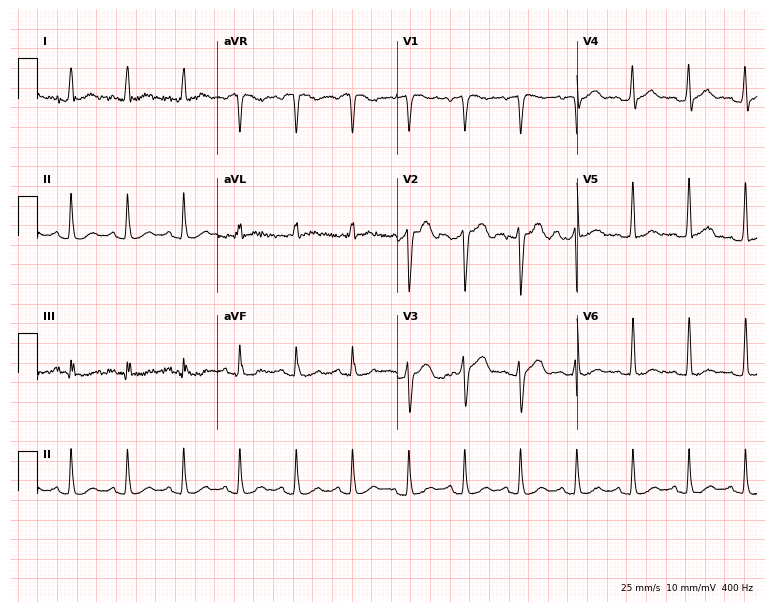
Electrocardiogram, a 37-year-old male. Interpretation includes sinus tachycardia (a sinus rate of 100 beats per minute or more).